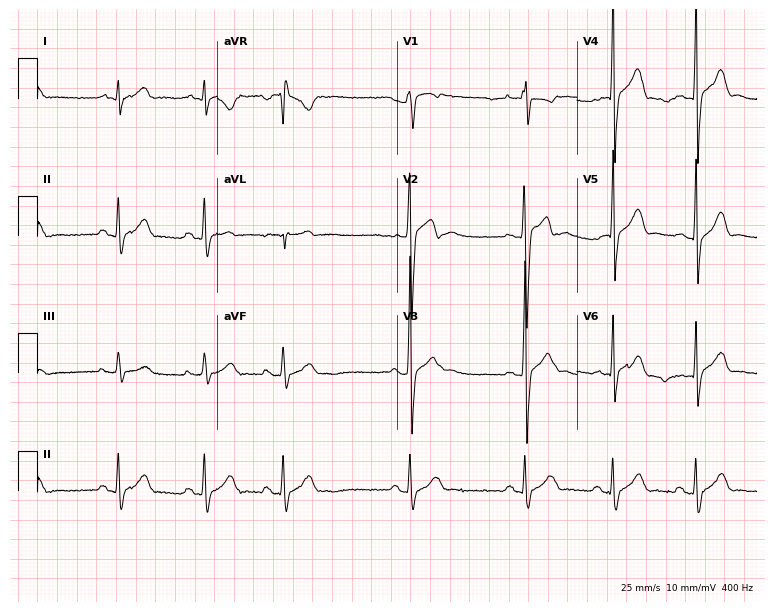
12-lead ECG from a 17-year-old man (7.3-second recording at 400 Hz). Recorded interpretation: within normal limits.